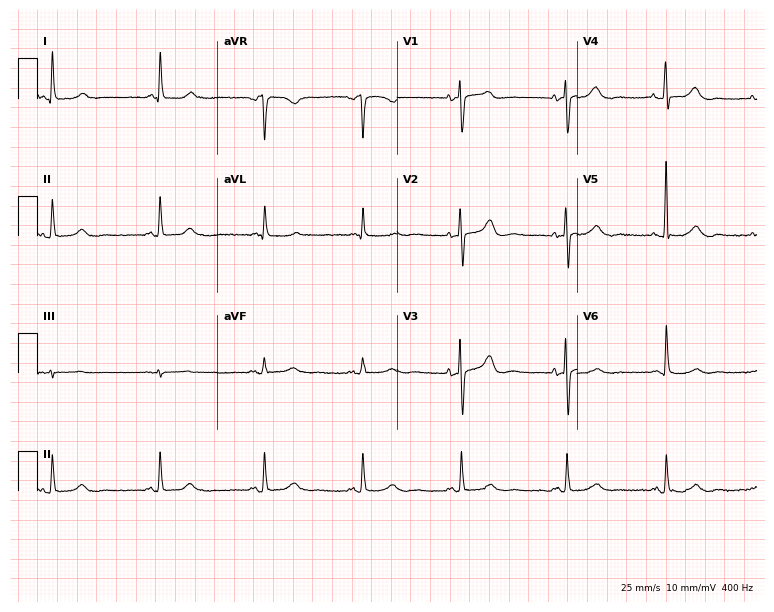
12-lead ECG from a woman, 77 years old (7.3-second recording at 400 Hz). Recorded interpretation: within normal limits.